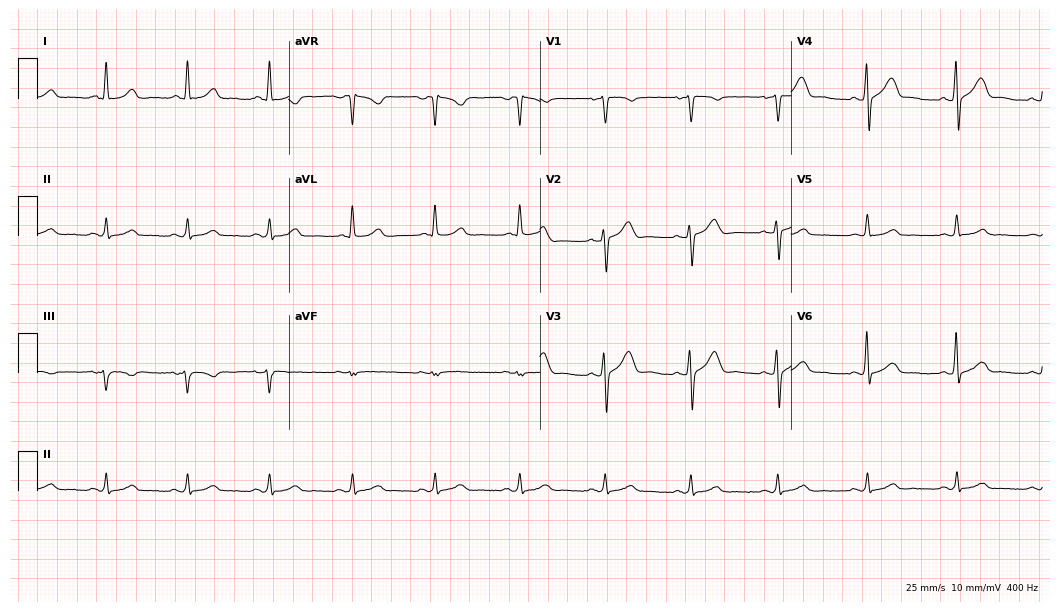
Electrocardiogram, a 53-year-old man. Overall reading on record: normal ECG.